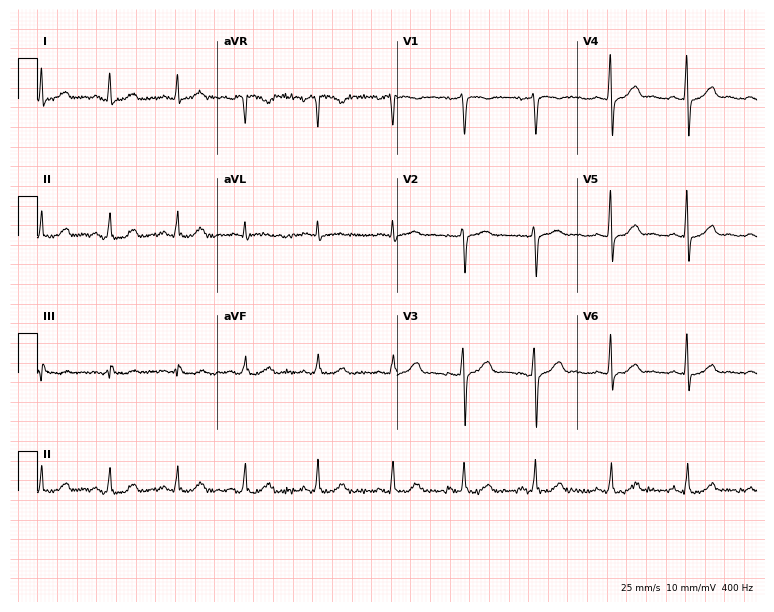
Electrocardiogram (7.3-second recording at 400 Hz), a female, 45 years old. Of the six screened findings (first-degree AV block, right bundle branch block, left bundle branch block, sinus bradycardia, atrial fibrillation, sinus tachycardia), none is recorded.